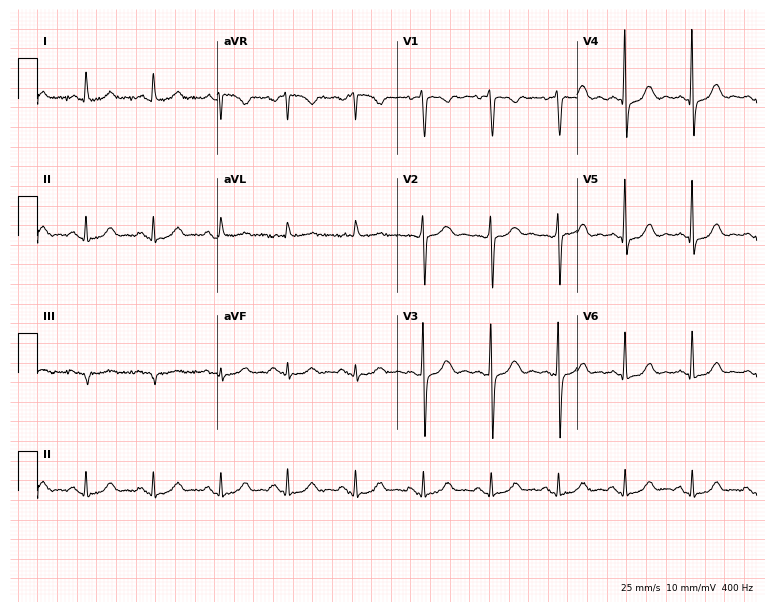
Standard 12-lead ECG recorded from a 63-year-old female patient (7.3-second recording at 400 Hz). Read as a normal ECG.